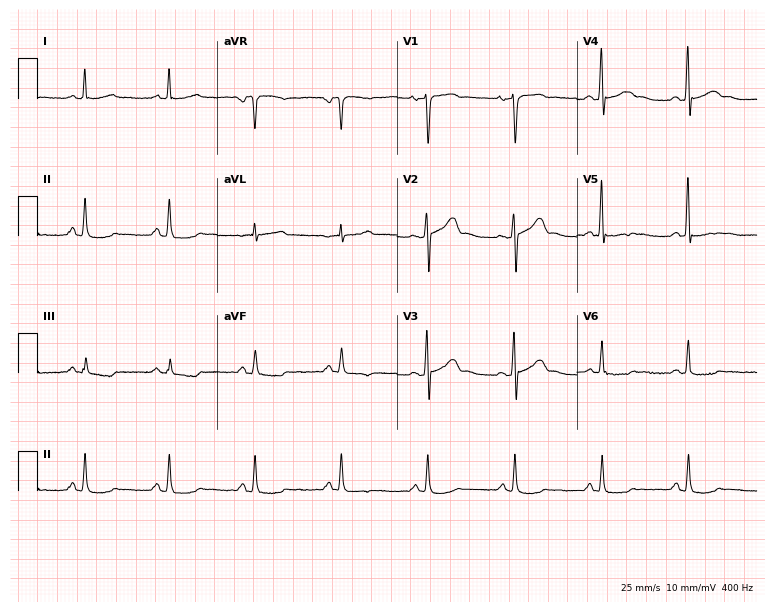
ECG — a 57-year-old man. Labelled as a normal ECG.